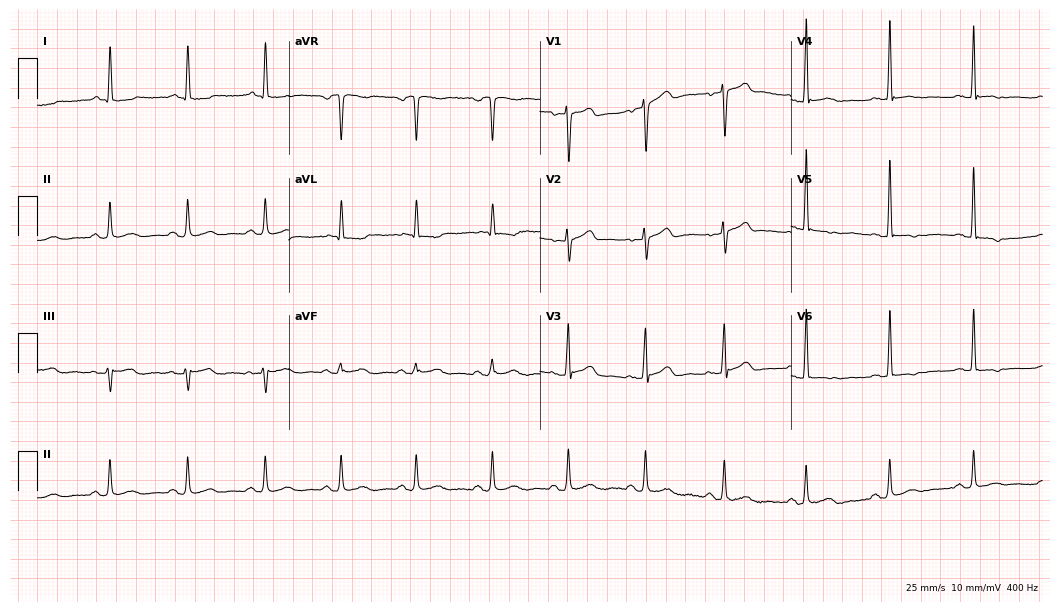
Electrocardiogram, a 63-year-old female. Overall reading on record: normal ECG.